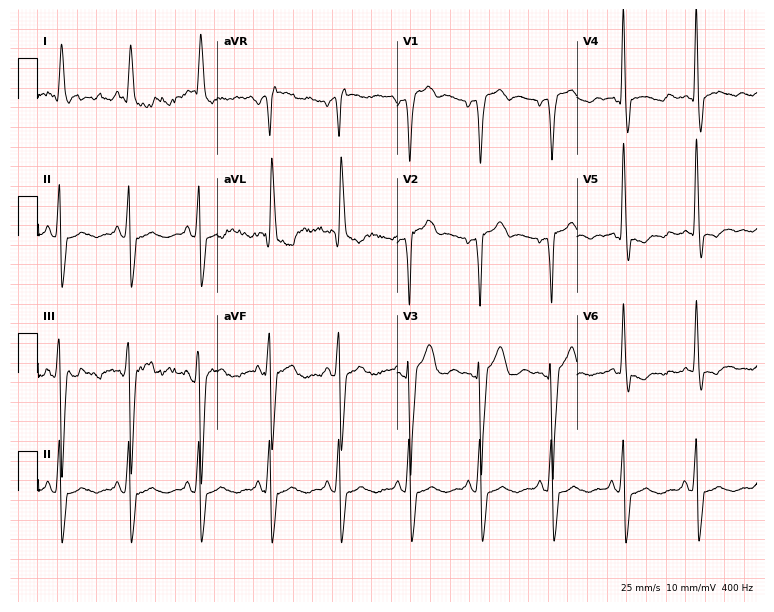
ECG — a male patient, 47 years old. Screened for six findings — first-degree AV block, right bundle branch block, left bundle branch block, sinus bradycardia, atrial fibrillation, sinus tachycardia — none is recorded. Other findings, if any, are not listed.